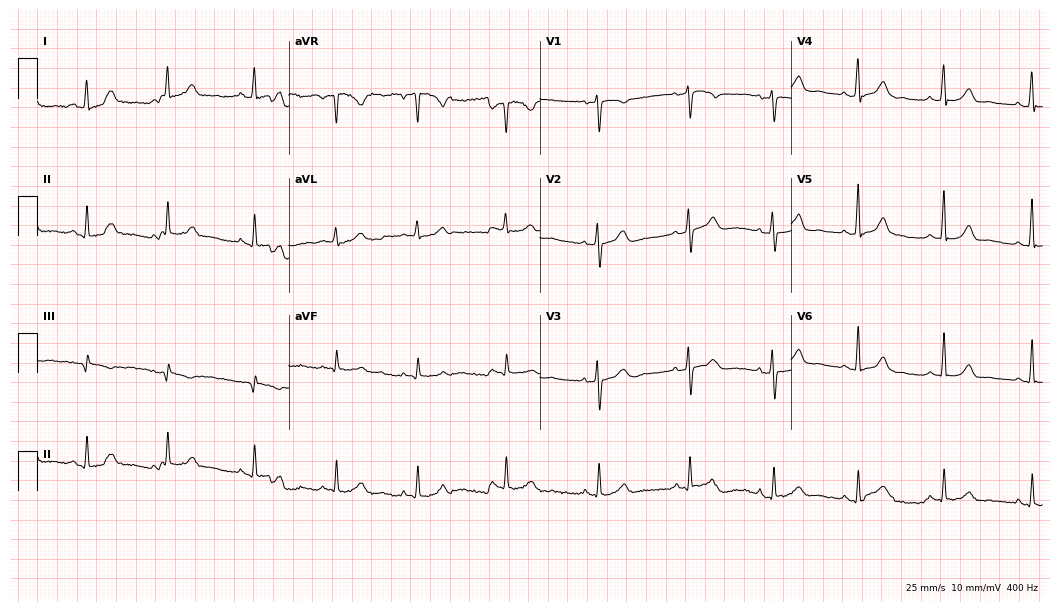
ECG — a female, 48 years old. Labelled as a normal ECG.